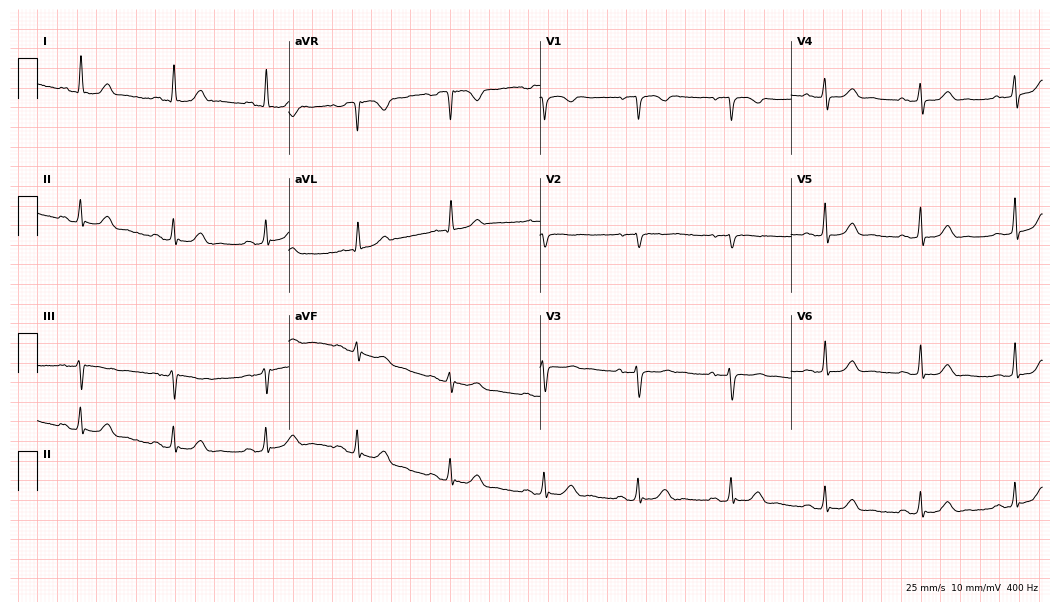
12-lead ECG from a 66-year-old female. Recorded interpretation: within normal limits.